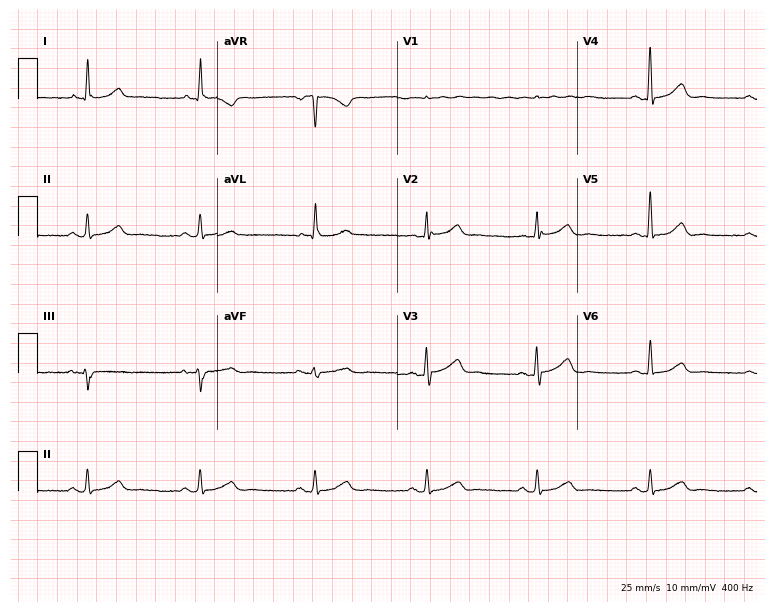
Standard 12-lead ECG recorded from a female patient, 67 years old. Read as a normal ECG.